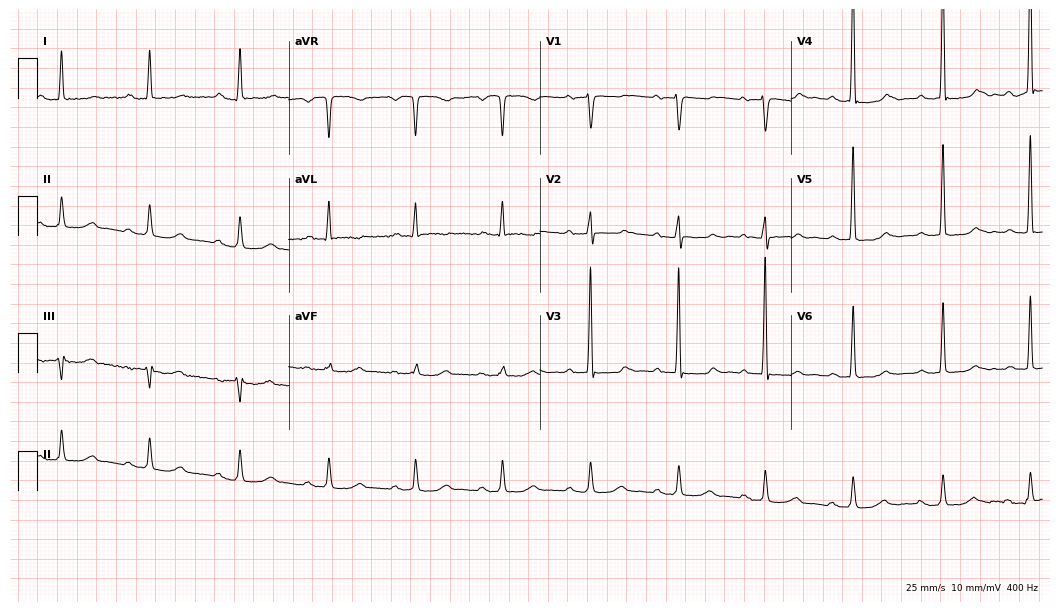
12-lead ECG (10.2-second recording at 400 Hz) from a woman, 58 years old. Findings include first-degree AV block.